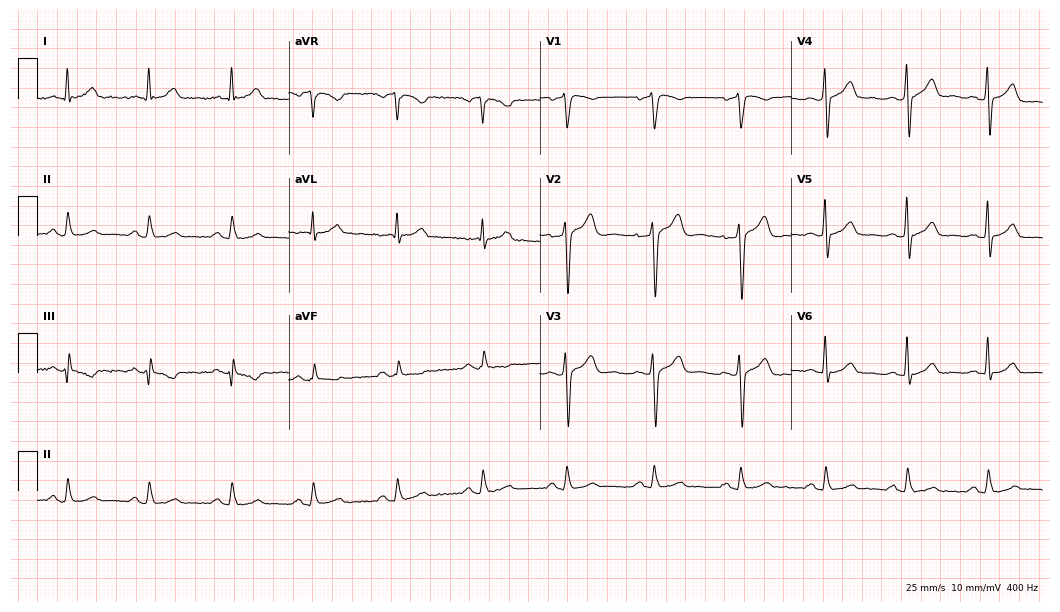
ECG (10.2-second recording at 400 Hz) — a 56-year-old male. Labelled as a normal ECG.